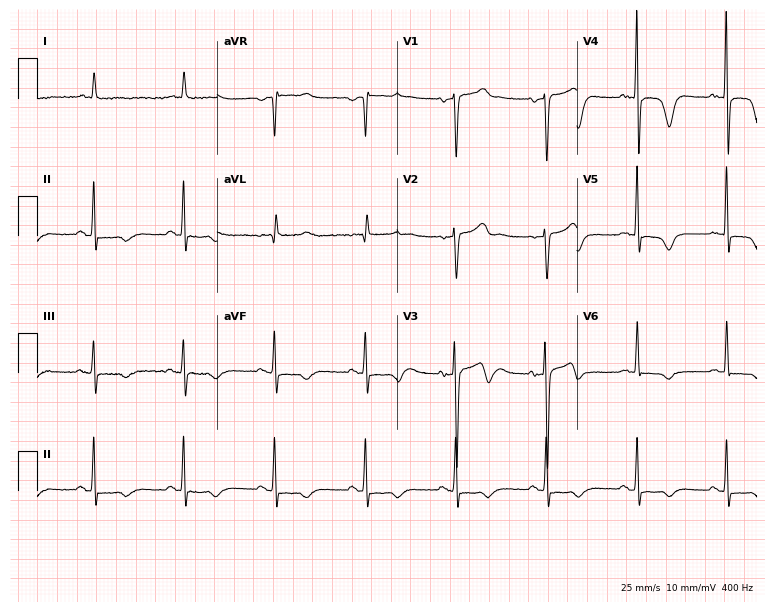
Electrocardiogram, a woman, 72 years old. Of the six screened findings (first-degree AV block, right bundle branch block, left bundle branch block, sinus bradycardia, atrial fibrillation, sinus tachycardia), none is recorded.